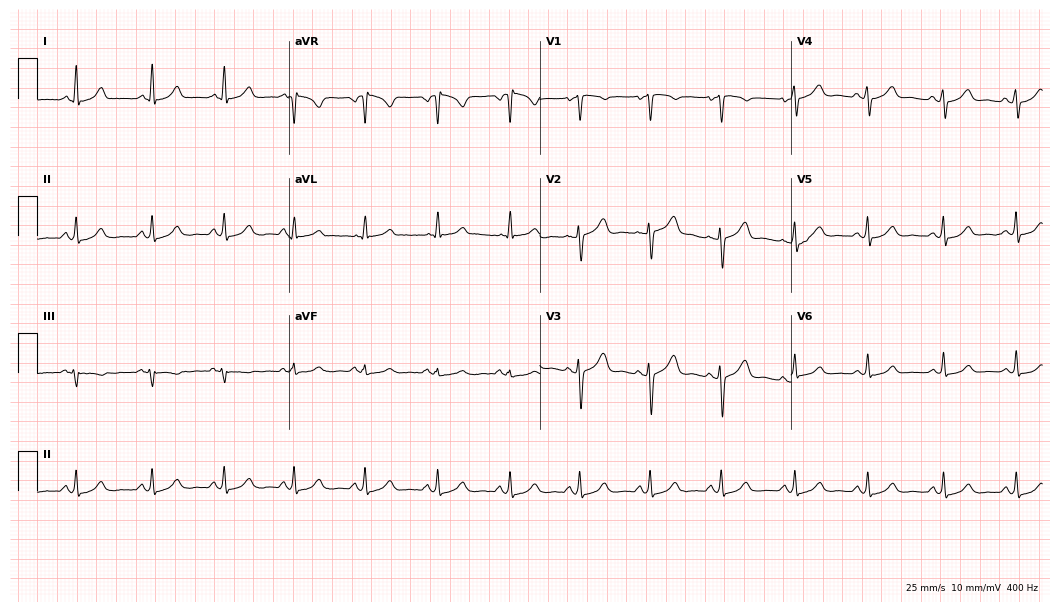
Standard 12-lead ECG recorded from a 38-year-old female patient. Read as a normal ECG.